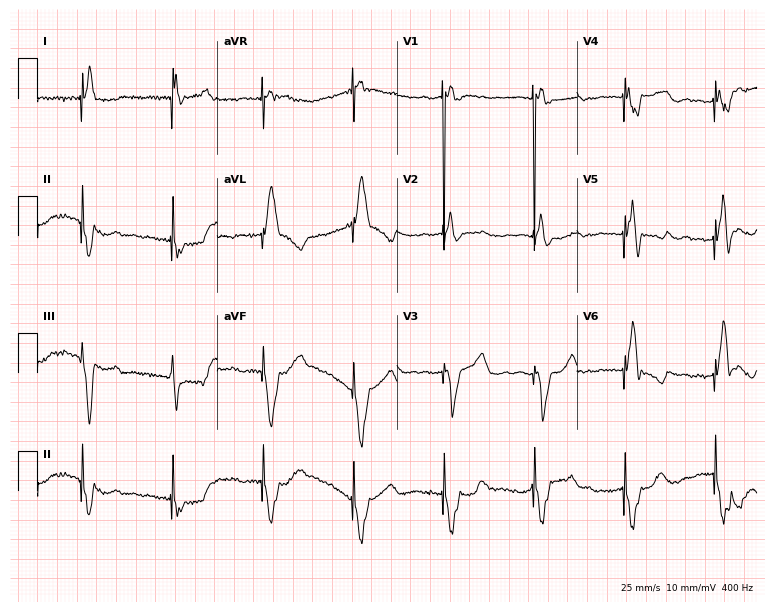
Electrocardiogram, a woman, 82 years old. Of the six screened findings (first-degree AV block, right bundle branch block, left bundle branch block, sinus bradycardia, atrial fibrillation, sinus tachycardia), none is recorded.